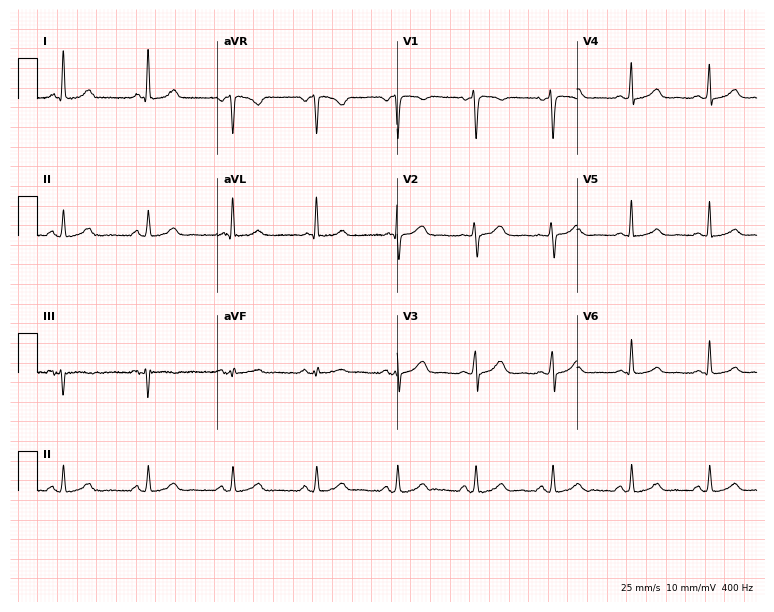
ECG (7.3-second recording at 400 Hz) — a 43-year-old female. Screened for six findings — first-degree AV block, right bundle branch block (RBBB), left bundle branch block (LBBB), sinus bradycardia, atrial fibrillation (AF), sinus tachycardia — none is recorded. Only these six findings were labelled.